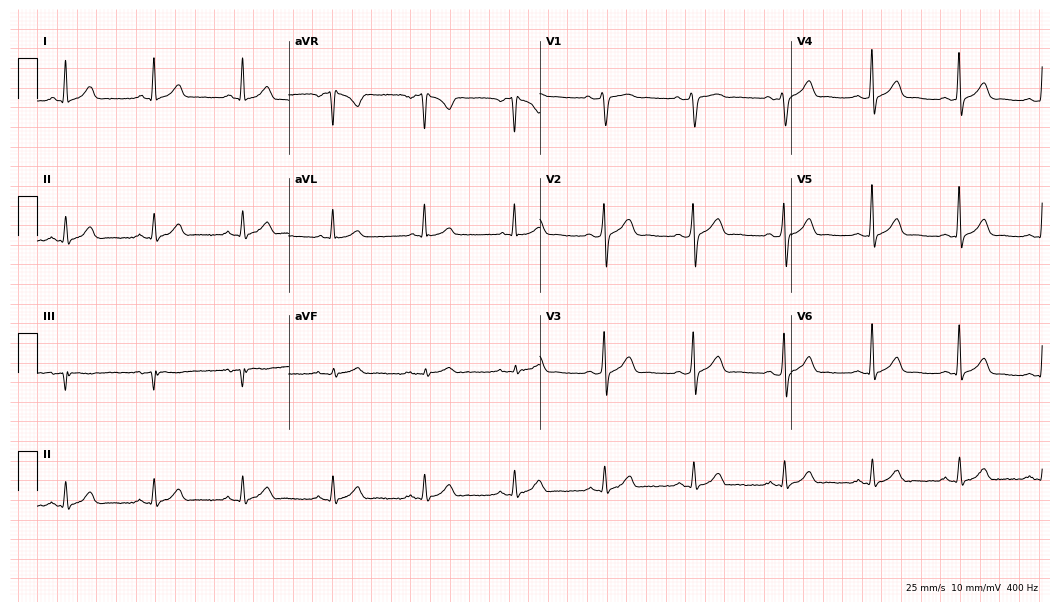
Standard 12-lead ECG recorded from a male, 41 years old (10.2-second recording at 400 Hz). Read as a normal ECG.